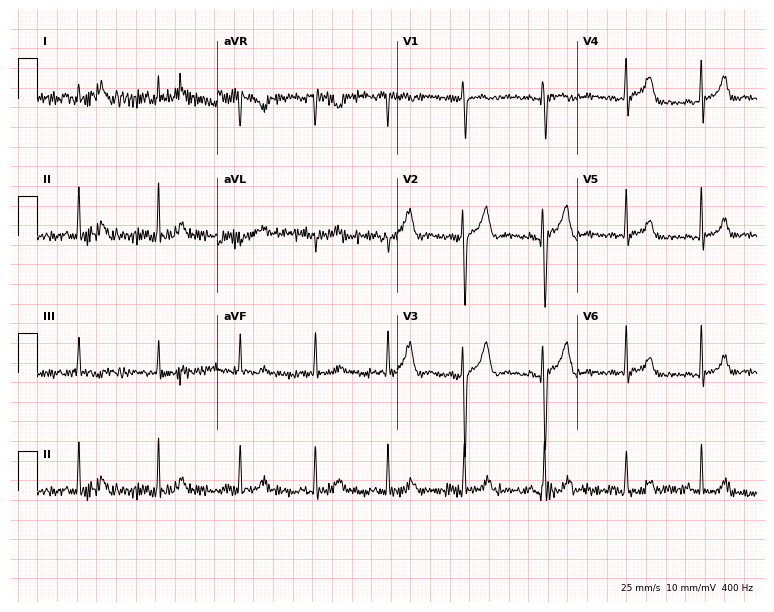
ECG — a female, 24 years old. Labelled as a normal ECG.